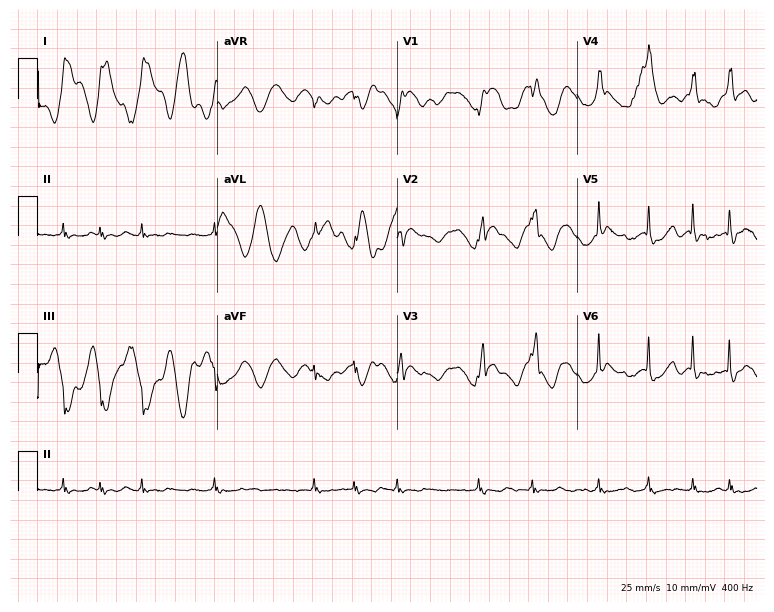
12-lead ECG from a 72-year-old female patient. Screened for six findings — first-degree AV block, right bundle branch block, left bundle branch block, sinus bradycardia, atrial fibrillation, sinus tachycardia — none is recorded.